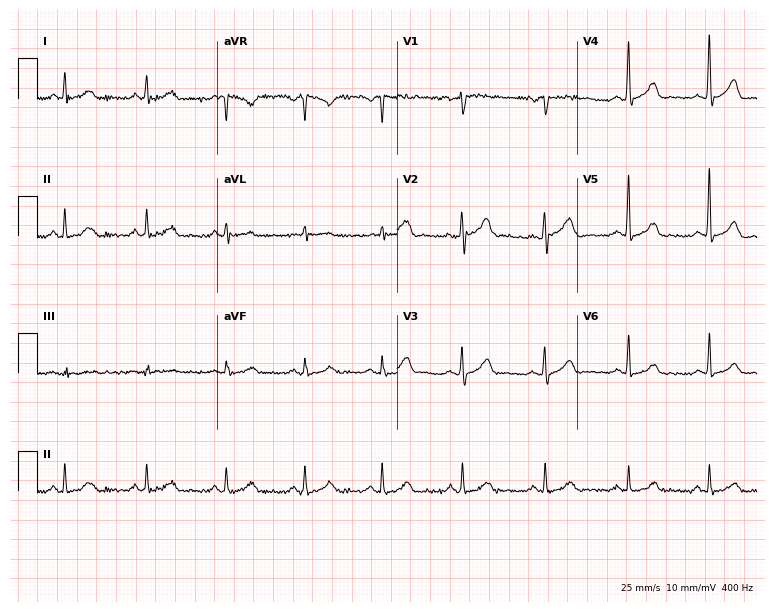
12-lead ECG from a male patient, 41 years old. Labelled as a normal ECG.